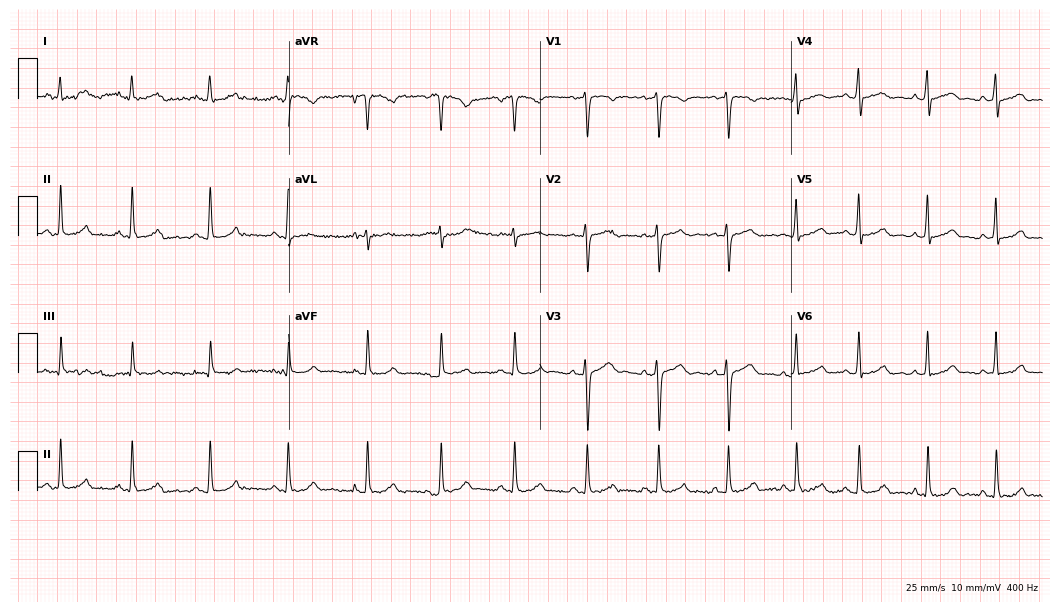
Resting 12-lead electrocardiogram (10.2-second recording at 400 Hz). Patient: a 22-year-old female. Read as a normal ECG.